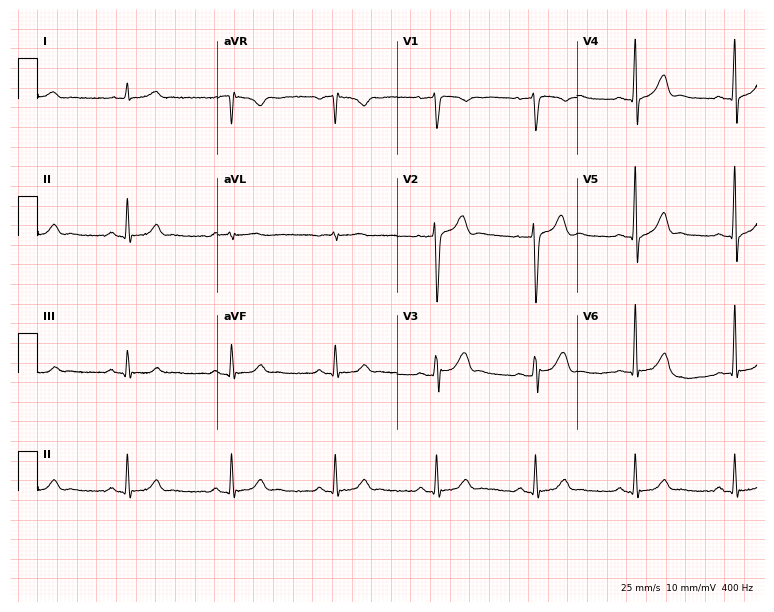
12-lead ECG from a male, 40 years old (7.3-second recording at 400 Hz). Recorded interpretation: within normal limits.